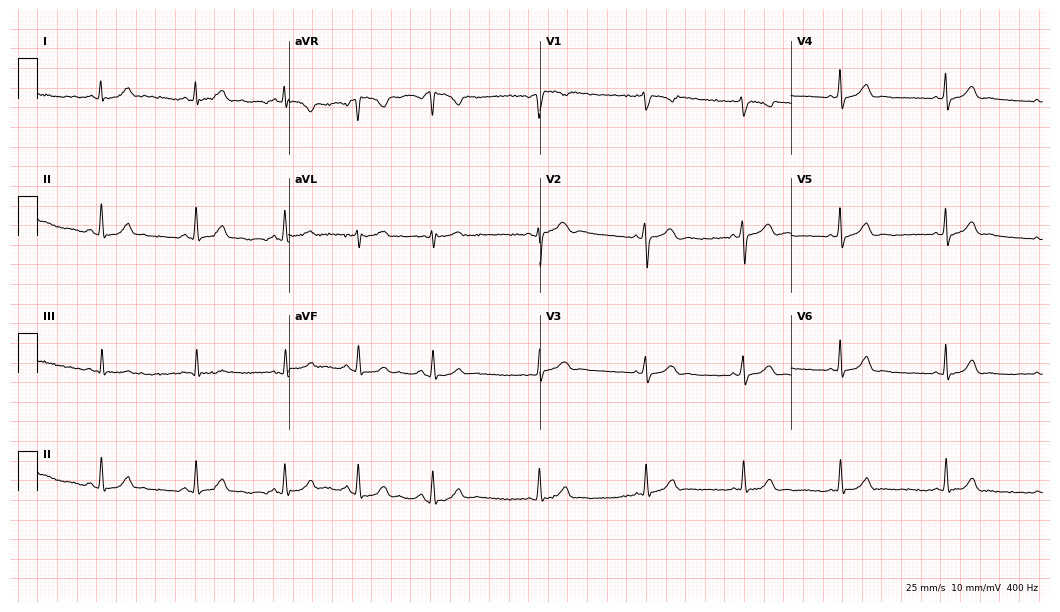
12-lead ECG from a female, 19 years old (10.2-second recording at 400 Hz). No first-degree AV block, right bundle branch block, left bundle branch block, sinus bradycardia, atrial fibrillation or sinus tachycardia recorded for this tracing. Only these six findings were labelled.